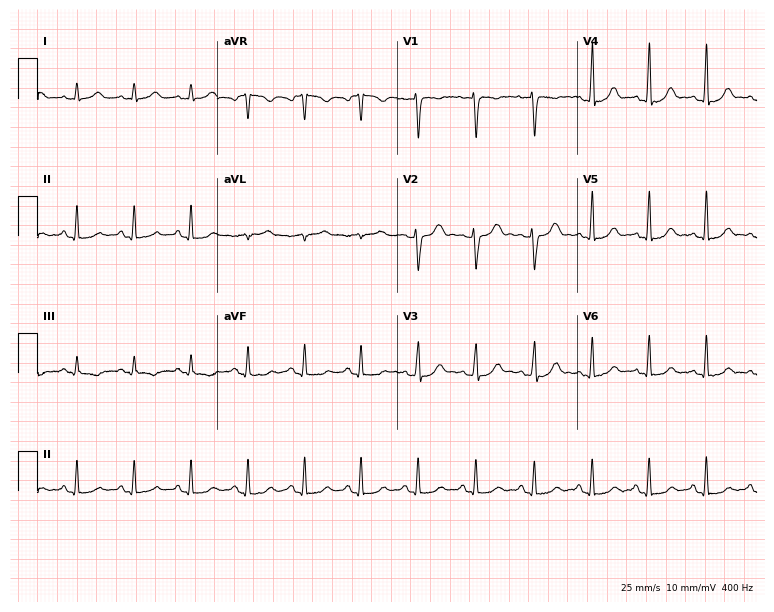
Standard 12-lead ECG recorded from a 33-year-old female (7.3-second recording at 400 Hz). The tracing shows sinus tachycardia (a sinus rate of 100 beats per minute or more).